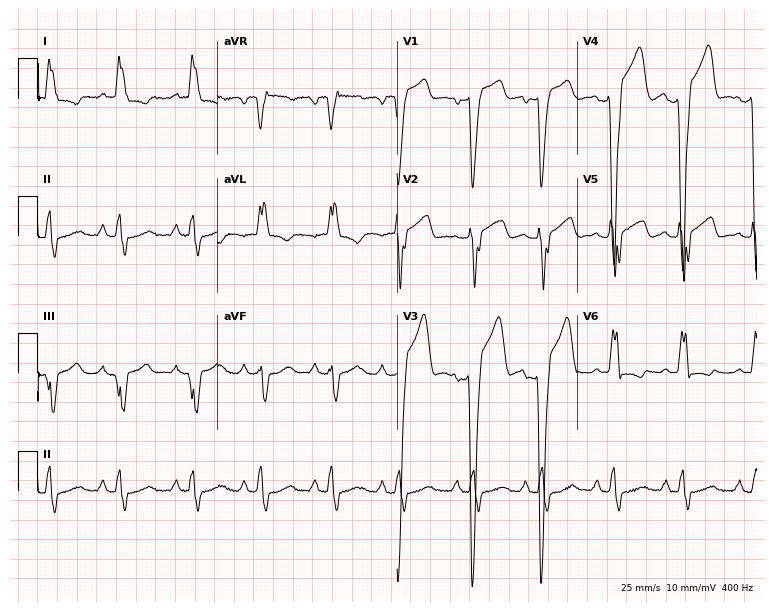
12-lead ECG from a 59-year-old female patient (7.3-second recording at 400 Hz). Shows left bundle branch block (LBBB).